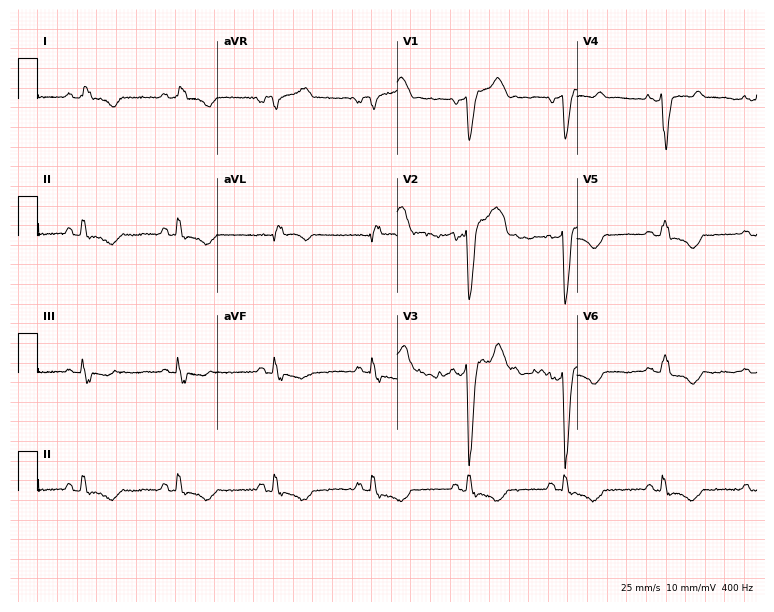
12-lead ECG from a male patient, 64 years old. Shows left bundle branch block.